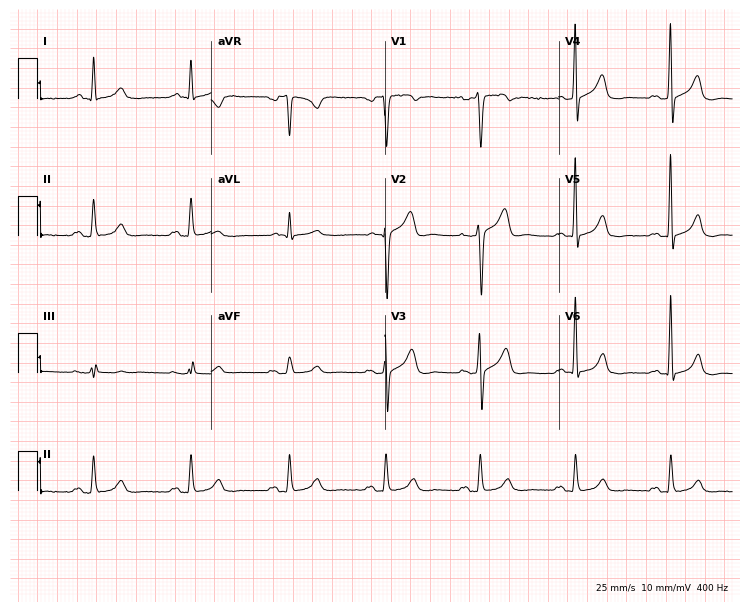
Resting 12-lead electrocardiogram. Patient: a 67-year-old male. None of these six findings is recorded: first-degree AV block, right bundle branch block, left bundle branch block, sinus bradycardia, atrial fibrillation, sinus tachycardia. Findings outside these six are not listed.